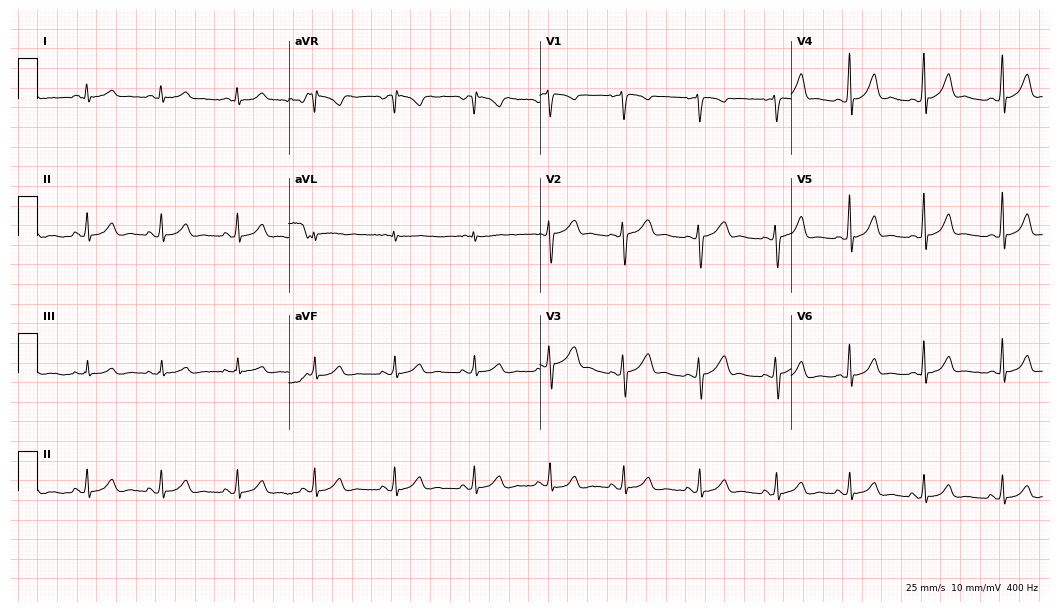
Resting 12-lead electrocardiogram (10.2-second recording at 400 Hz). Patient: a woman, 17 years old. Read as a normal ECG.